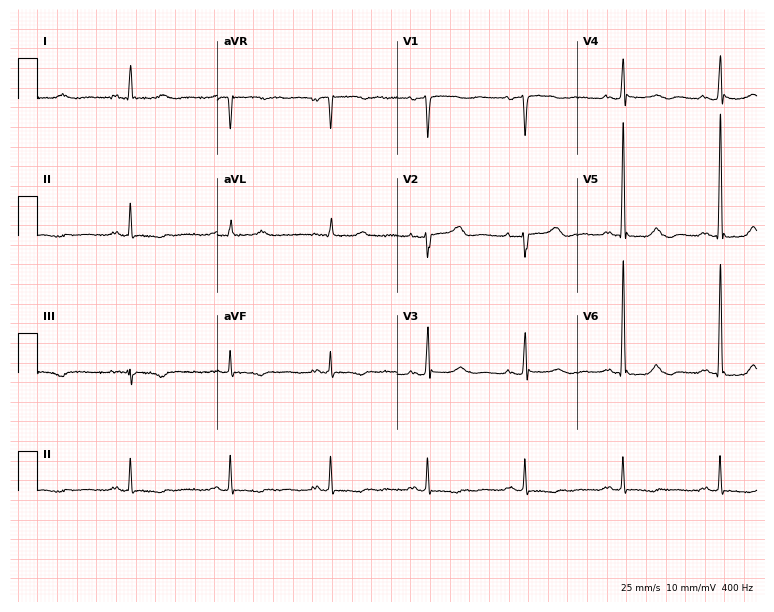
Resting 12-lead electrocardiogram (7.3-second recording at 400 Hz). Patient: a woman, 67 years old. None of these six findings is recorded: first-degree AV block, right bundle branch block (RBBB), left bundle branch block (LBBB), sinus bradycardia, atrial fibrillation (AF), sinus tachycardia. Findings outside these six are not listed.